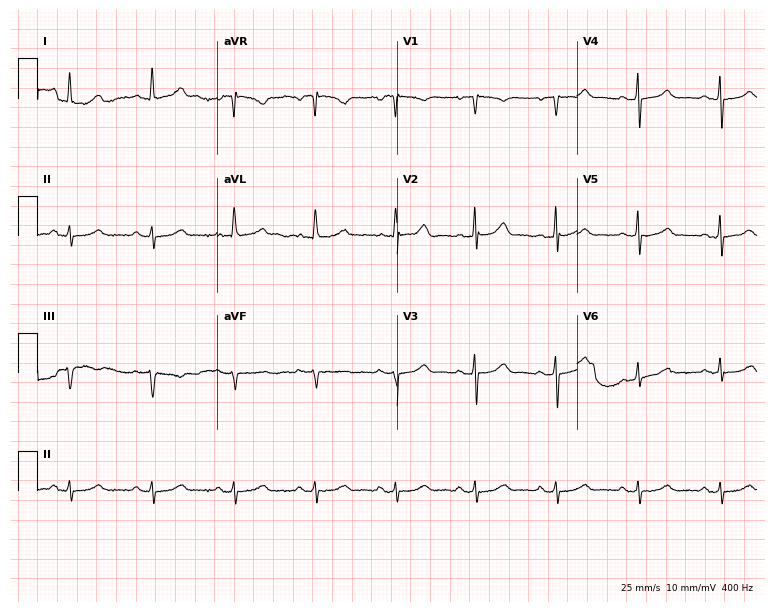
ECG — an 86-year-old man. Labelled as a normal ECG.